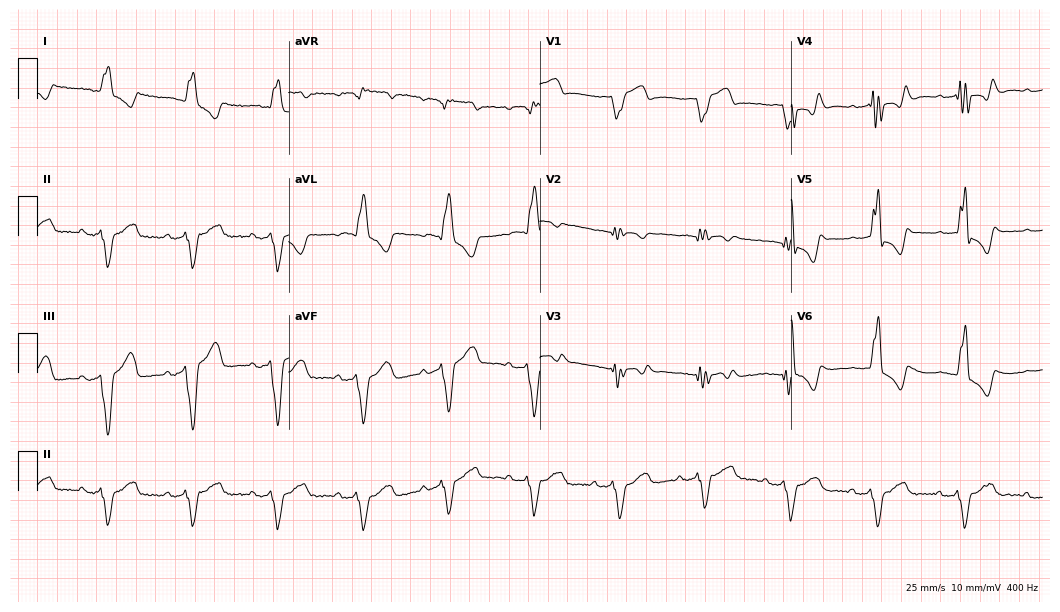
Resting 12-lead electrocardiogram. Patient: a male, 70 years old. The tracing shows left bundle branch block.